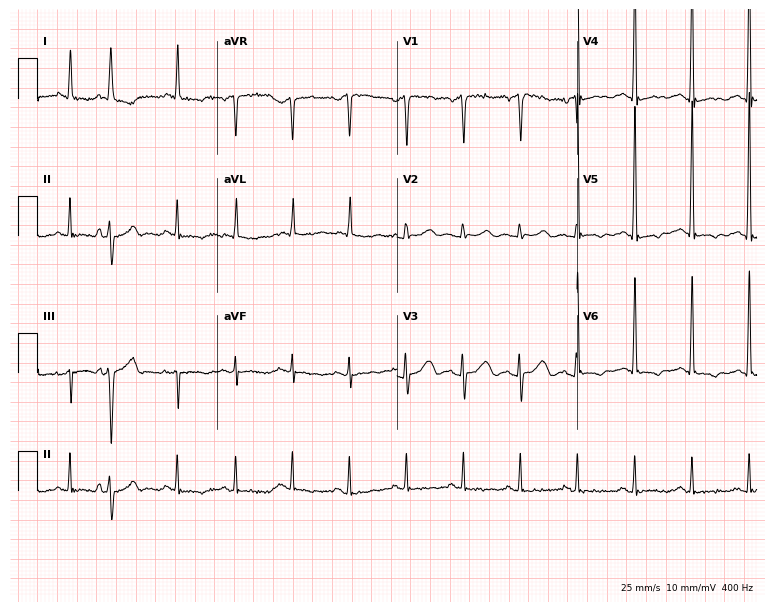
12-lead ECG from a female, 70 years old (7.3-second recording at 400 Hz). No first-degree AV block, right bundle branch block, left bundle branch block, sinus bradycardia, atrial fibrillation or sinus tachycardia recorded for this tracing. Only these six findings were labelled.